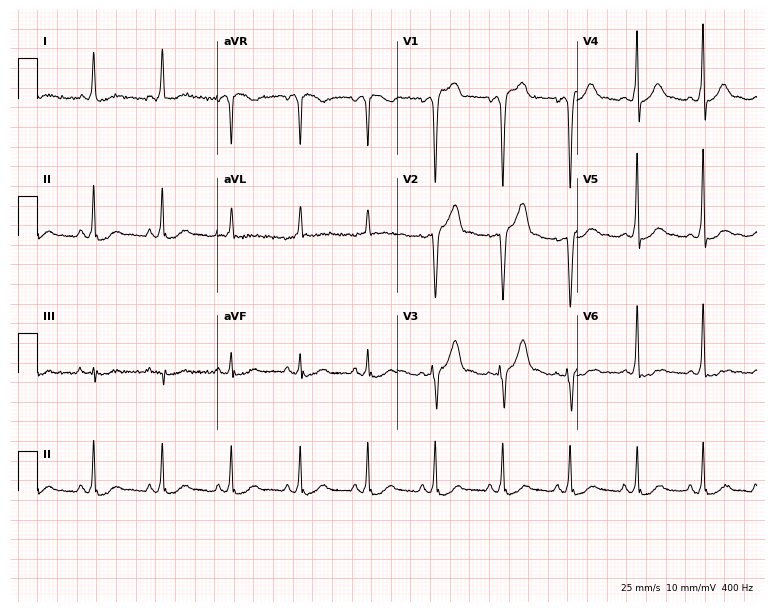
Electrocardiogram, a 72-year-old man. Of the six screened findings (first-degree AV block, right bundle branch block (RBBB), left bundle branch block (LBBB), sinus bradycardia, atrial fibrillation (AF), sinus tachycardia), none is recorded.